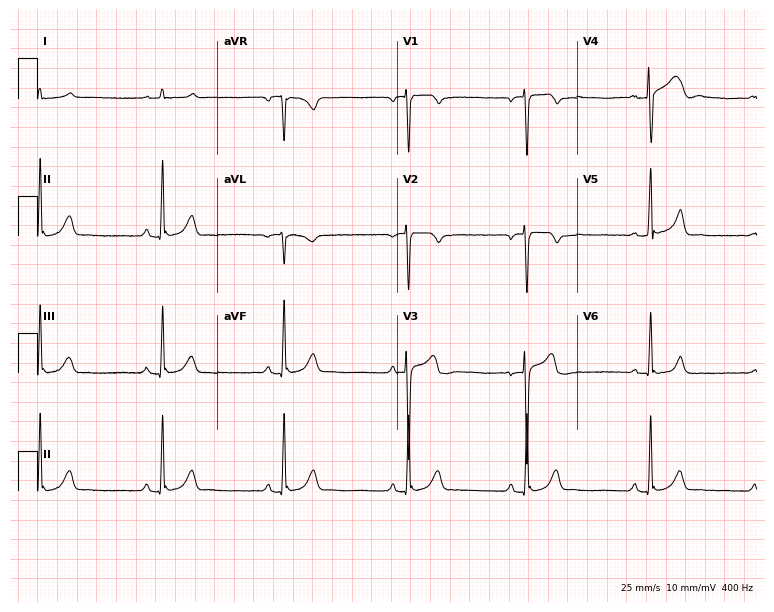
12-lead ECG from a 30-year-old male patient. Findings include sinus bradycardia (a sinus rate of 50 beats per minute or less).